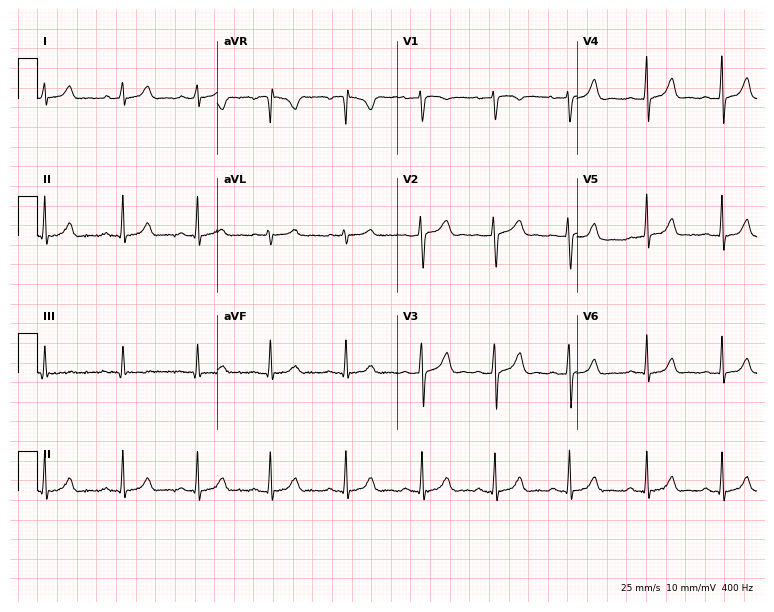
12-lead ECG from a female patient, 30 years old. Screened for six findings — first-degree AV block, right bundle branch block (RBBB), left bundle branch block (LBBB), sinus bradycardia, atrial fibrillation (AF), sinus tachycardia — none is recorded. Findings outside these six are not listed.